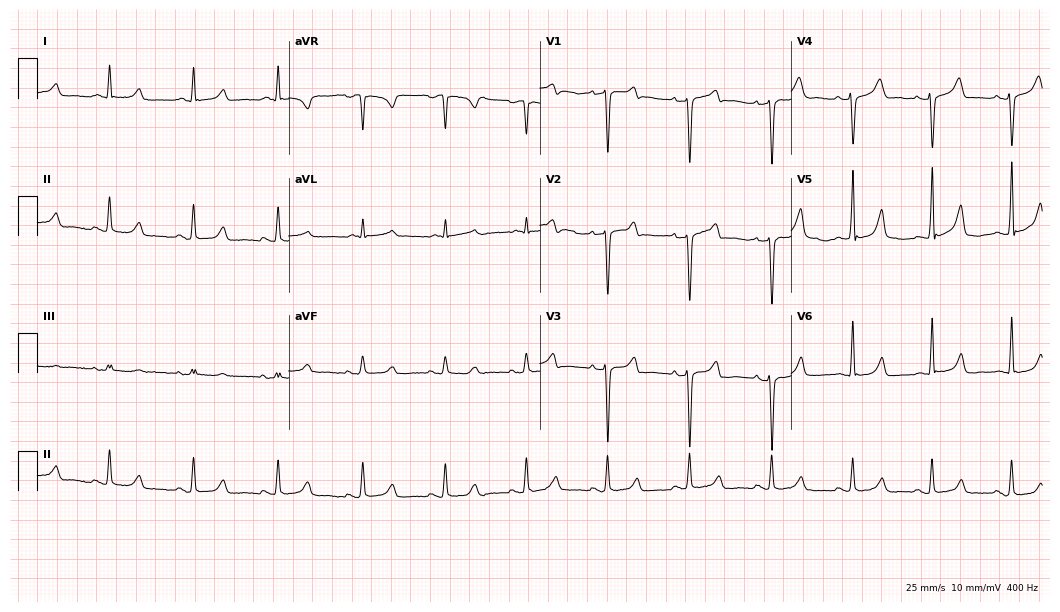
12-lead ECG from a 48-year-old male patient. No first-degree AV block, right bundle branch block (RBBB), left bundle branch block (LBBB), sinus bradycardia, atrial fibrillation (AF) or sinus tachycardia recorded for this tracing. Other findings, if any, are not listed.